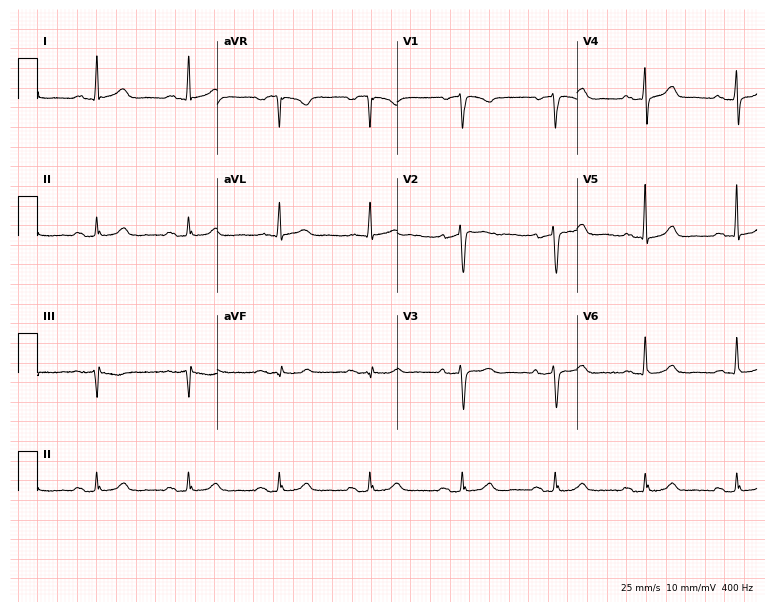
12-lead ECG from a woman, 84 years old. Screened for six findings — first-degree AV block, right bundle branch block, left bundle branch block, sinus bradycardia, atrial fibrillation, sinus tachycardia — none is recorded. Other findings, if any, are not listed.